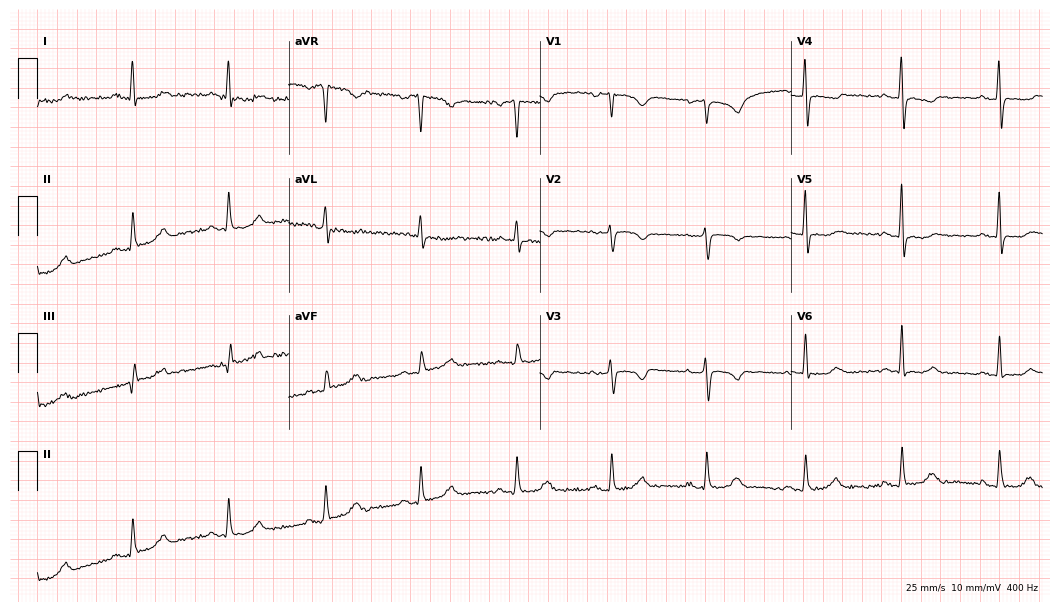
12-lead ECG from a 59-year-old female patient. No first-degree AV block, right bundle branch block (RBBB), left bundle branch block (LBBB), sinus bradycardia, atrial fibrillation (AF) or sinus tachycardia recorded for this tracing. Other findings, if any, are not listed.